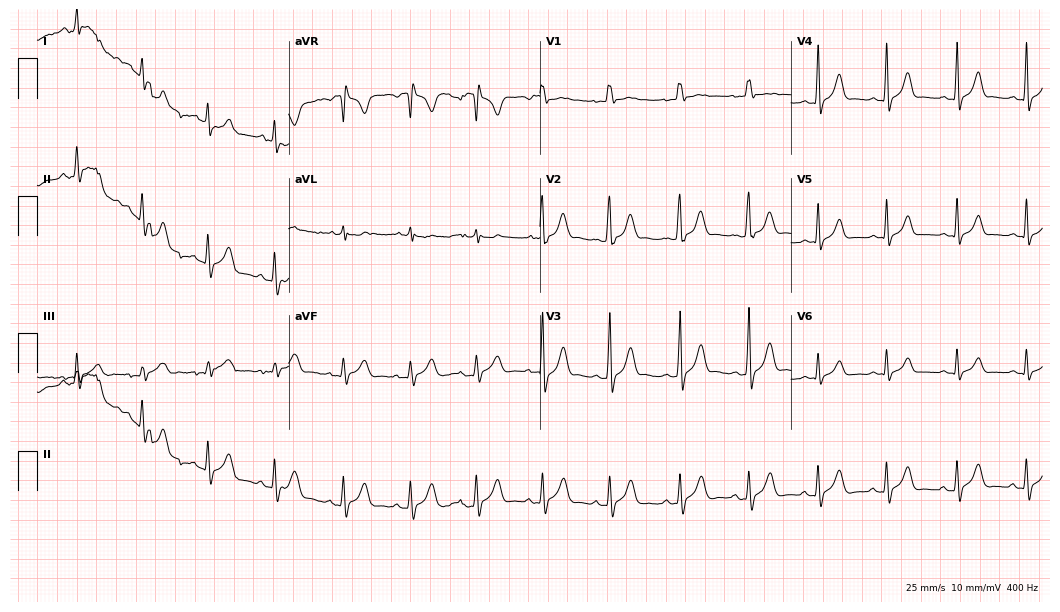
12-lead ECG from a 17-year-old male. Recorded interpretation: within normal limits.